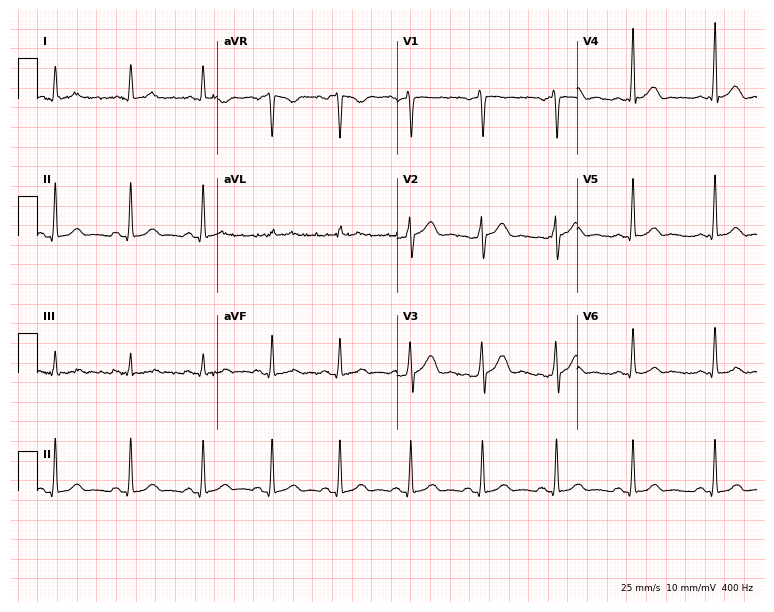
12-lead ECG from a 43-year-old man (7.3-second recording at 400 Hz). Recorded interpretation: within normal limits.